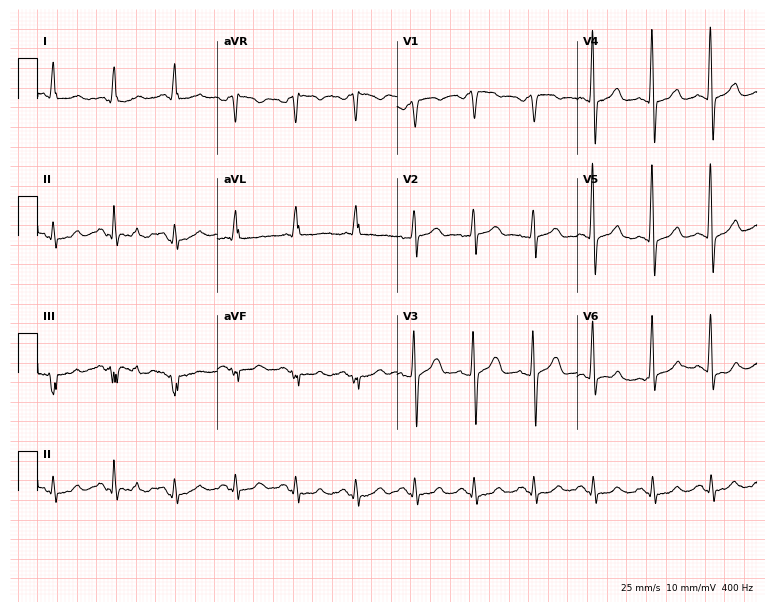
Resting 12-lead electrocardiogram (7.3-second recording at 400 Hz). Patient: a 60-year-old male. Read as a normal ECG.